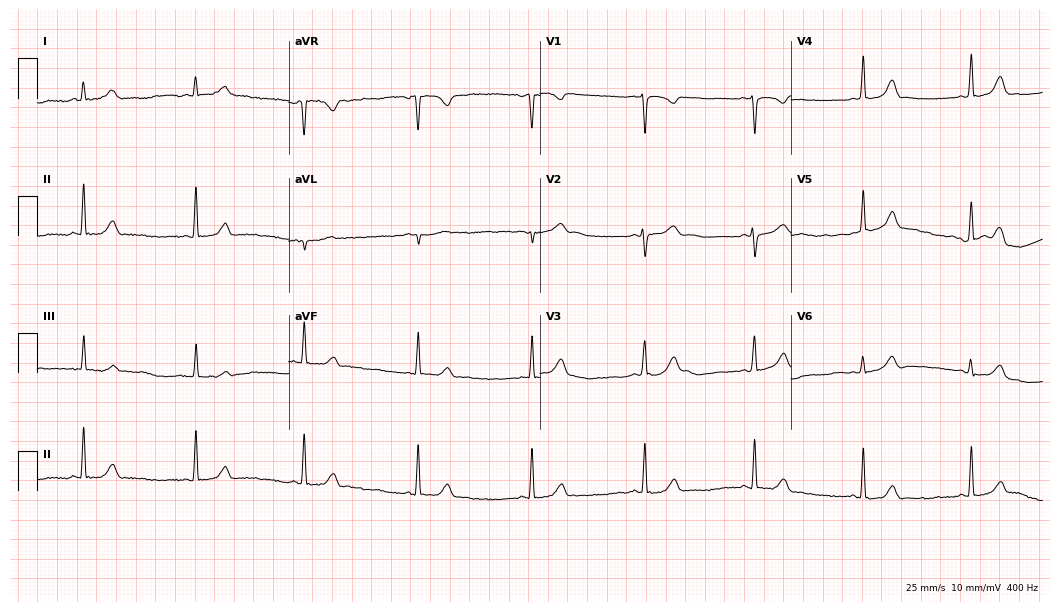
Electrocardiogram, a female patient, 21 years old. Overall reading on record: normal ECG.